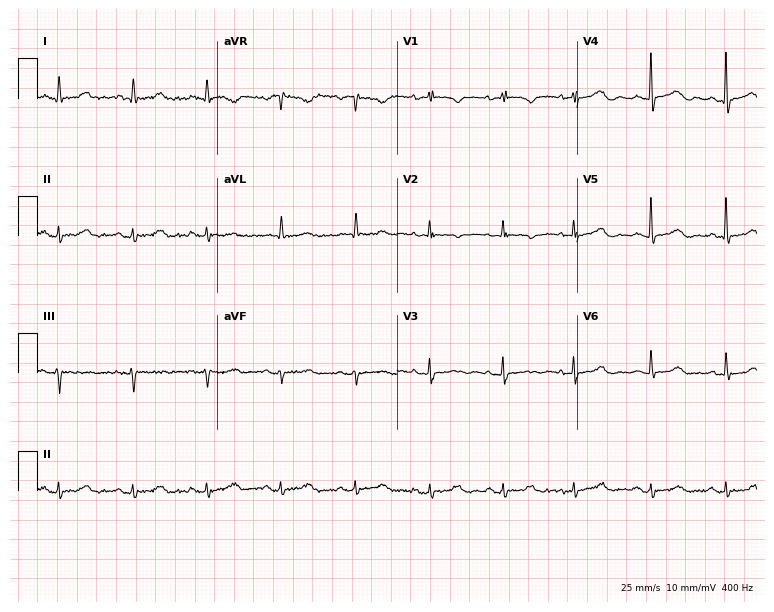
ECG (7.3-second recording at 400 Hz) — a woman, 83 years old. Labelled as a normal ECG.